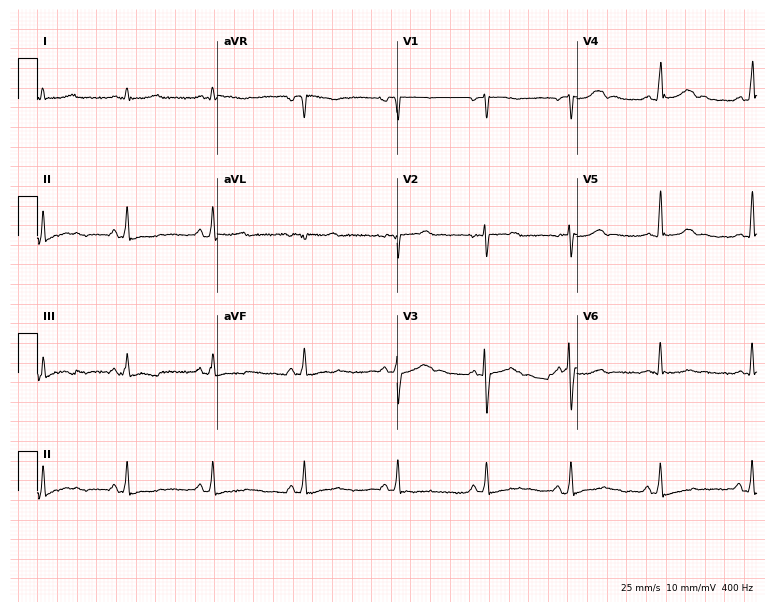
Resting 12-lead electrocardiogram (7.3-second recording at 400 Hz). Patient: a 24-year-old female. Read as a normal ECG.